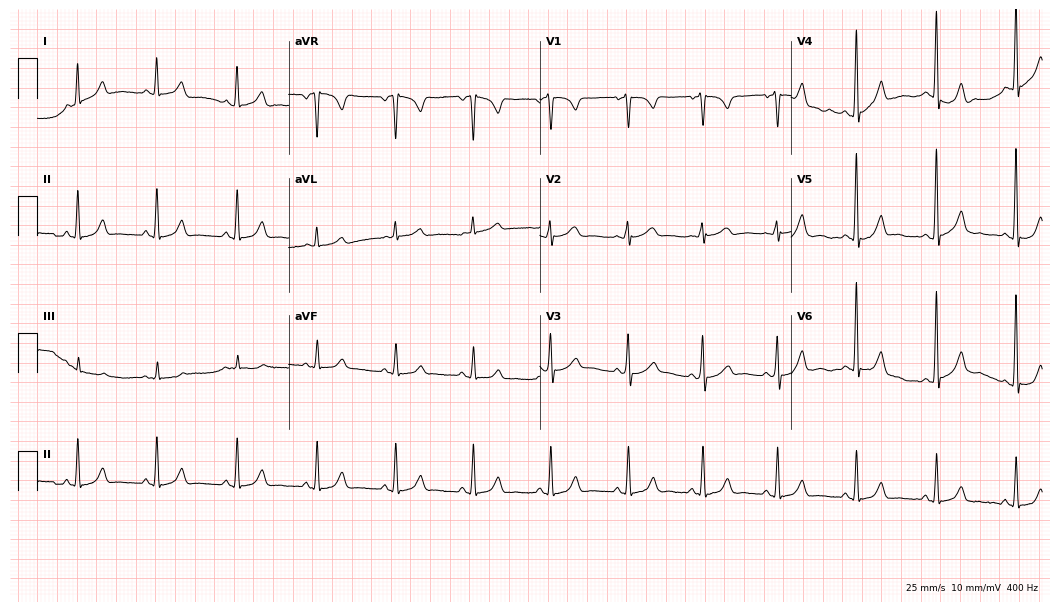
Electrocardiogram (10.2-second recording at 400 Hz), a woman, 40 years old. Overall reading on record: normal ECG.